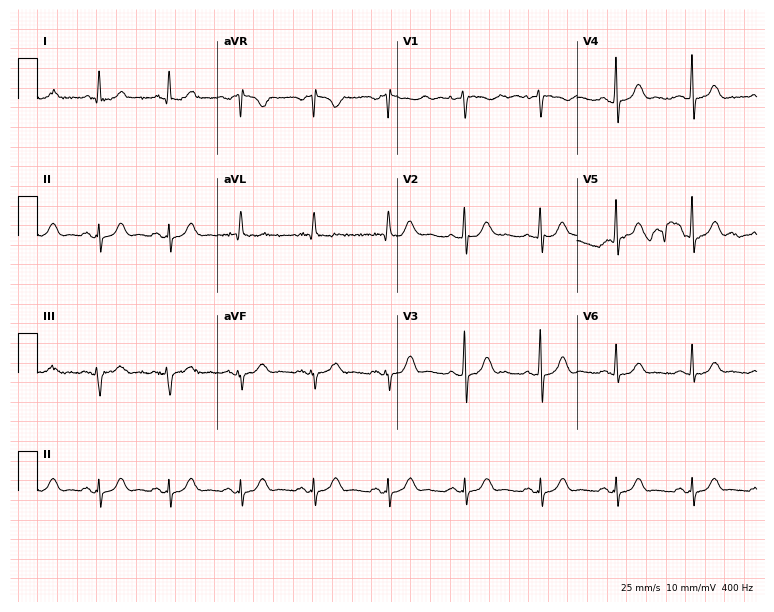
Standard 12-lead ECG recorded from a male, 63 years old (7.3-second recording at 400 Hz). Read as a normal ECG.